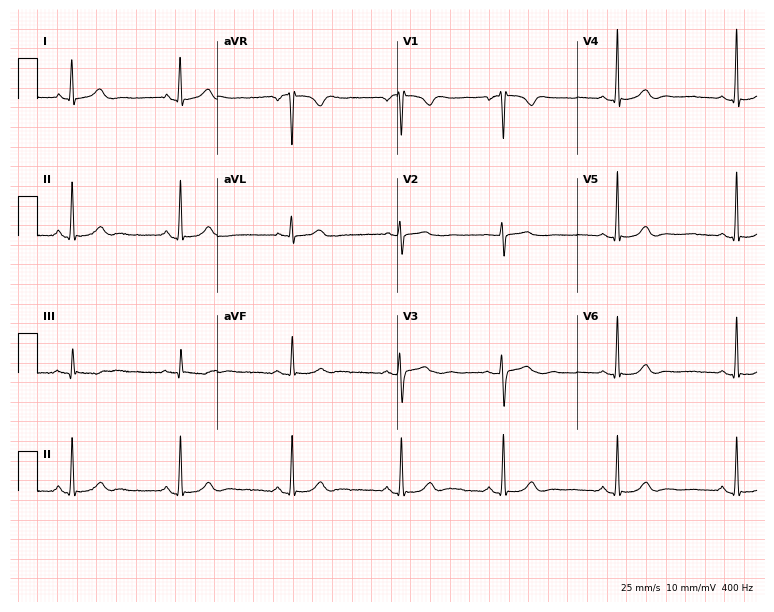
ECG — a woman, 28 years old. Screened for six findings — first-degree AV block, right bundle branch block (RBBB), left bundle branch block (LBBB), sinus bradycardia, atrial fibrillation (AF), sinus tachycardia — none is recorded. Findings outside these six are not listed.